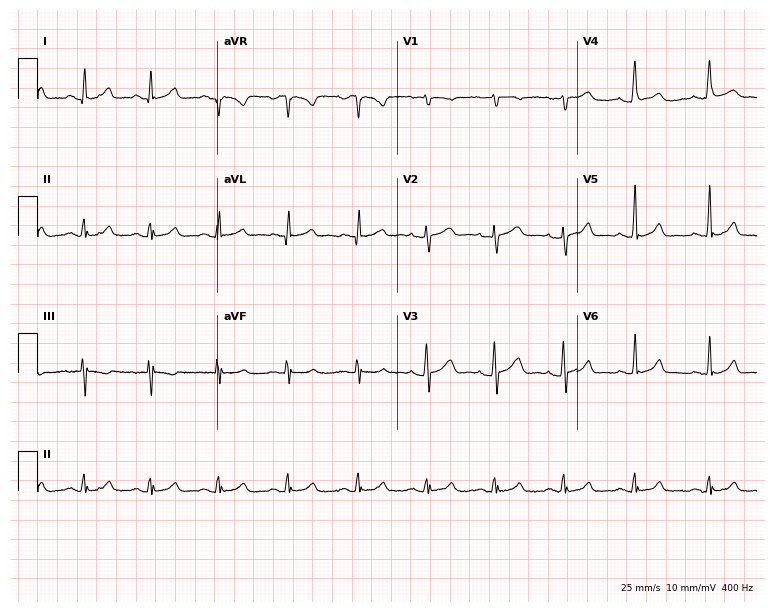
Electrocardiogram (7.3-second recording at 400 Hz), a female patient, 21 years old. Overall reading on record: normal ECG.